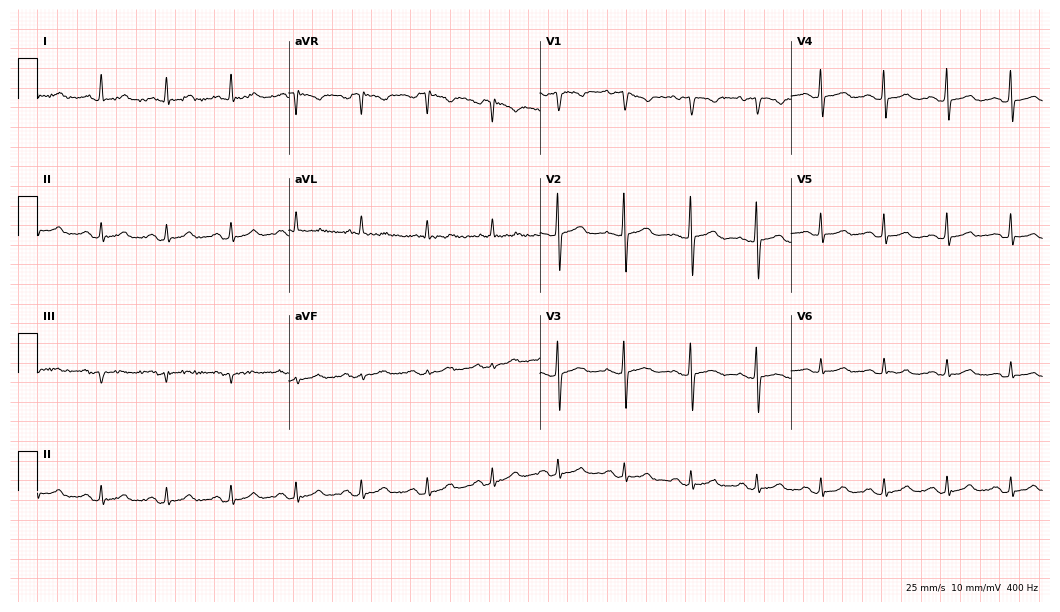
ECG (10.2-second recording at 400 Hz) — a woman, 66 years old. Labelled as a normal ECG.